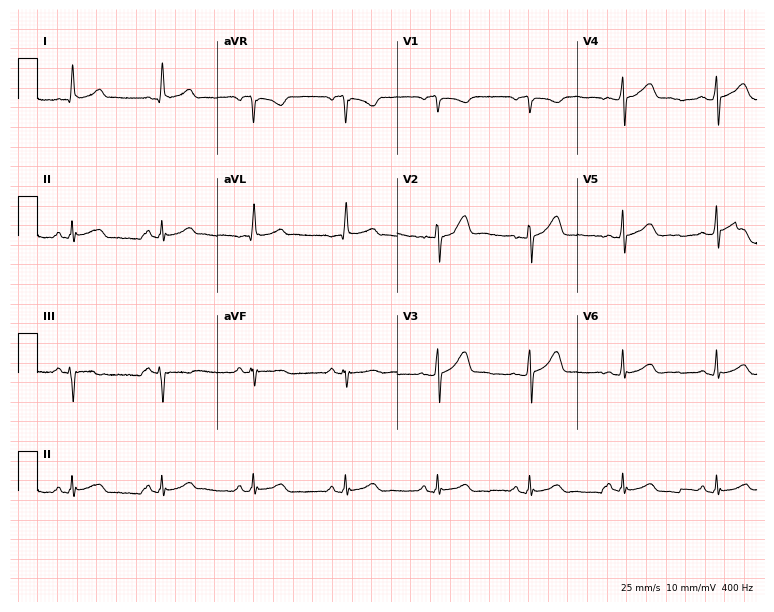
Electrocardiogram (7.3-second recording at 400 Hz), a 53-year-old woman. Overall reading on record: normal ECG.